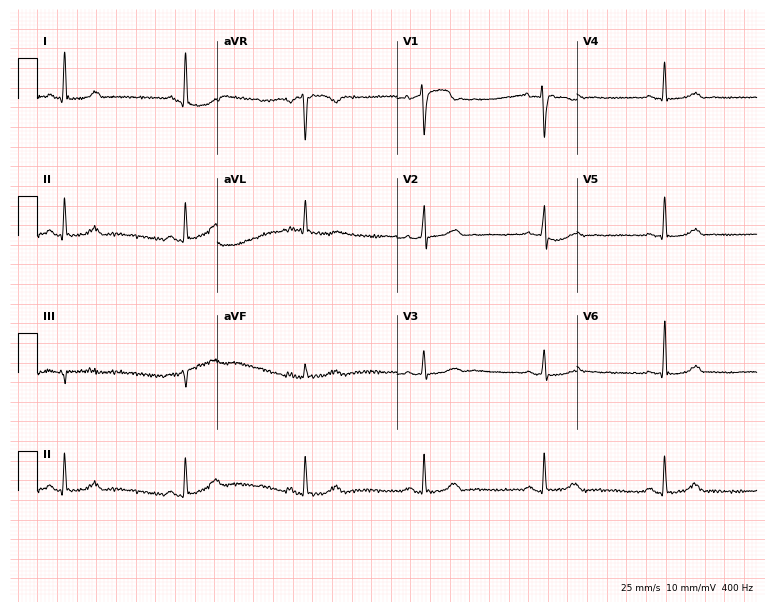
Resting 12-lead electrocardiogram. Patient: a woman, 51 years old. The tracing shows sinus bradycardia (a sinus rate of 50 beats per minute or less).